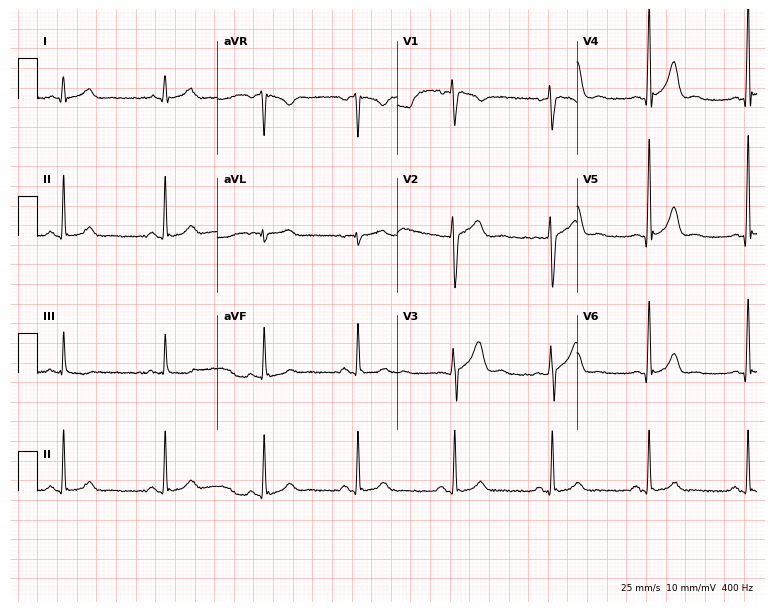
Standard 12-lead ECG recorded from a man, 45 years old. None of these six findings is recorded: first-degree AV block, right bundle branch block, left bundle branch block, sinus bradycardia, atrial fibrillation, sinus tachycardia. Findings outside these six are not listed.